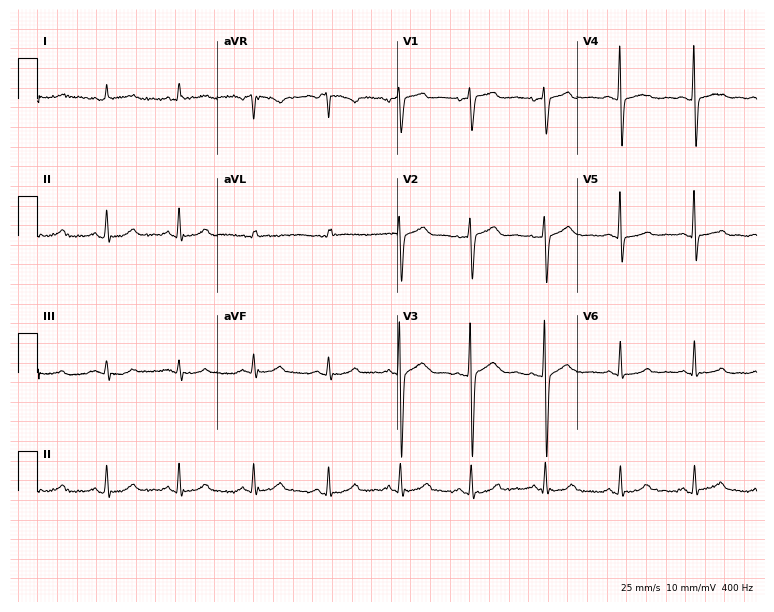
12-lead ECG (7.3-second recording at 400 Hz) from a woman, 38 years old. Screened for six findings — first-degree AV block, right bundle branch block, left bundle branch block, sinus bradycardia, atrial fibrillation, sinus tachycardia — none is recorded.